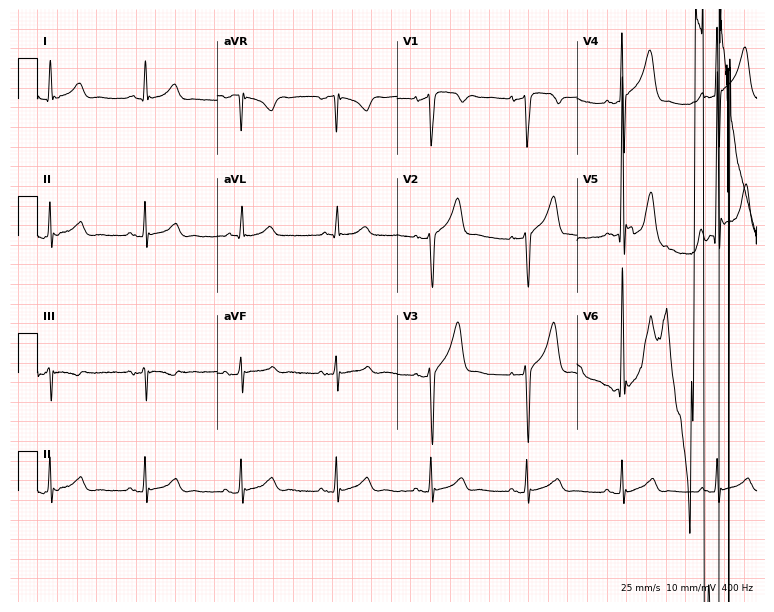
ECG — a male, 84 years old. Screened for six findings — first-degree AV block, right bundle branch block, left bundle branch block, sinus bradycardia, atrial fibrillation, sinus tachycardia — none is recorded.